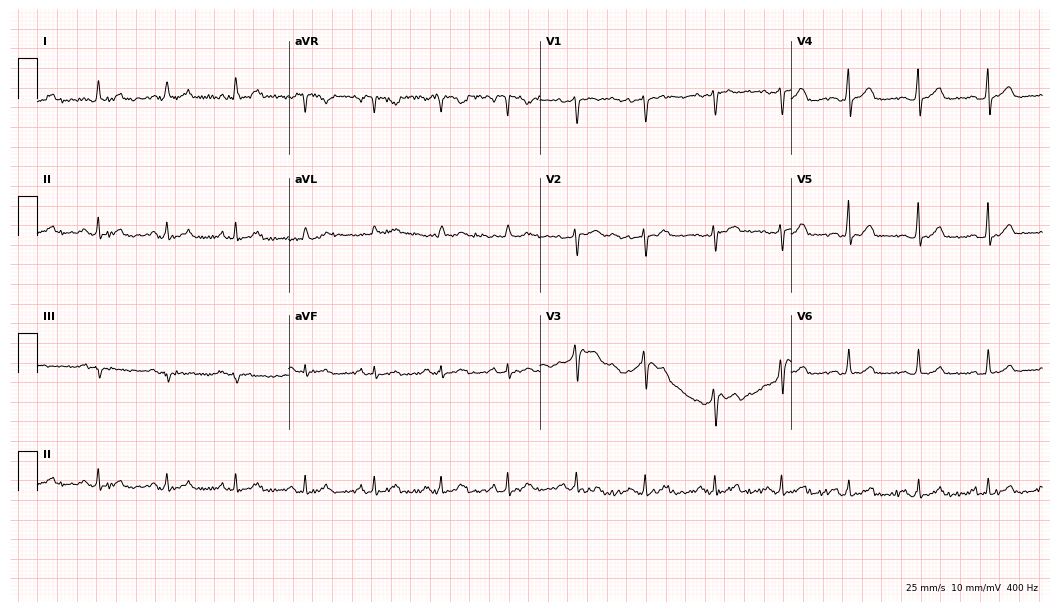
12-lead ECG from a 50-year-old woman. Labelled as a normal ECG.